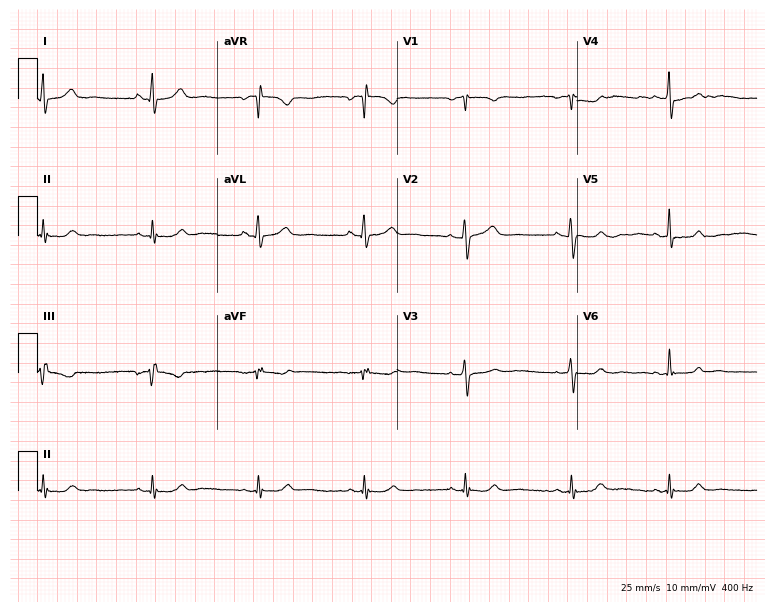
12-lead ECG (7.3-second recording at 400 Hz) from a 60-year-old female patient. Screened for six findings — first-degree AV block, right bundle branch block (RBBB), left bundle branch block (LBBB), sinus bradycardia, atrial fibrillation (AF), sinus tachycardia — none is recorded. Other findings, if any, are not listed.